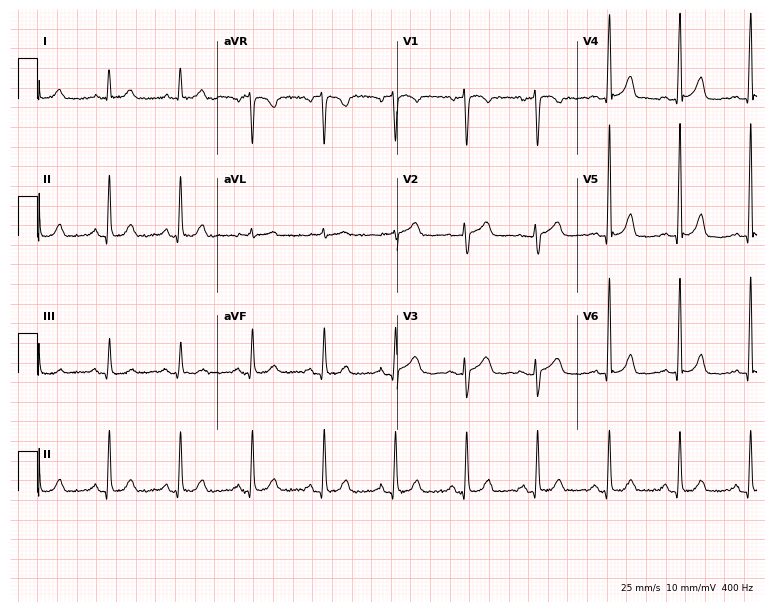
Resting 12-lead electrocardiogram (7.3-second recording at 400 Hz). Patient: a female, 77 years old. Read as a normal ECG.